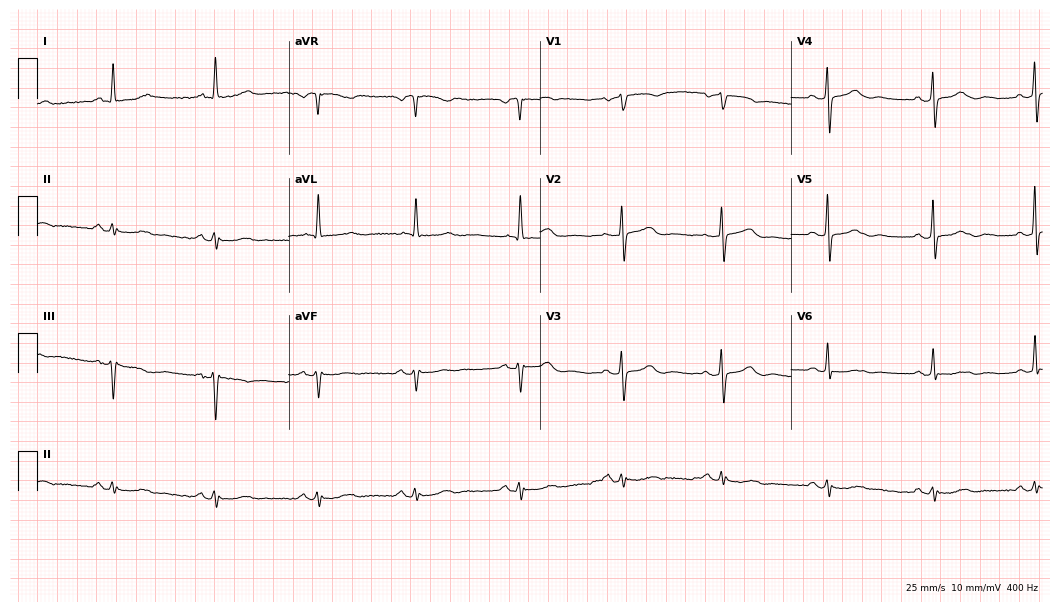
12-lead ECG from a female patient, 84 years old. No first-degree AV block, right bundle branch block, left bundle branch block, sinus bradycardia, atrial fibrillation or sinus tachycardia recorded for this tracing. Findings outside these six are not listed.